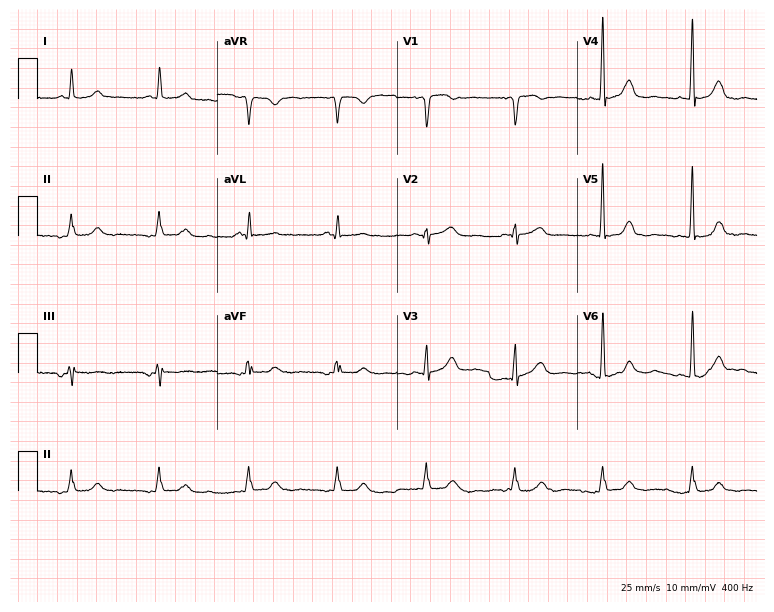
Electrocardiogram (7.3-second recording at 400 Hz), a male, 86 years old. Of the six screened findings (first-degree AV block, right bundle branch block (RBBB), left bundle branch block (LBBB), sinus bradycardia, atrial fibrillation (AF), sinus tachycardia), none is recorded.